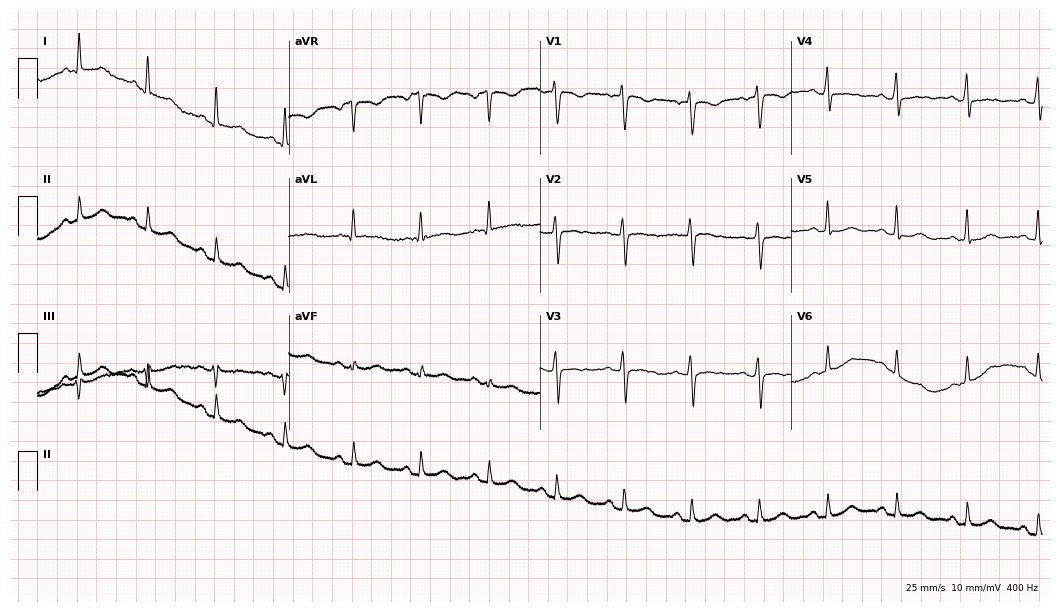
Standard 12-lead ECG recorded from a 50-year-old woman. None of these six findings is recorded: first-degree AV block, right bundle branch block (RBBB), left bundle branch block (LBBB), sinus bradycardia, atrial fibrillation (AF), sinus tachycardia. Findings outside these six are not listed.